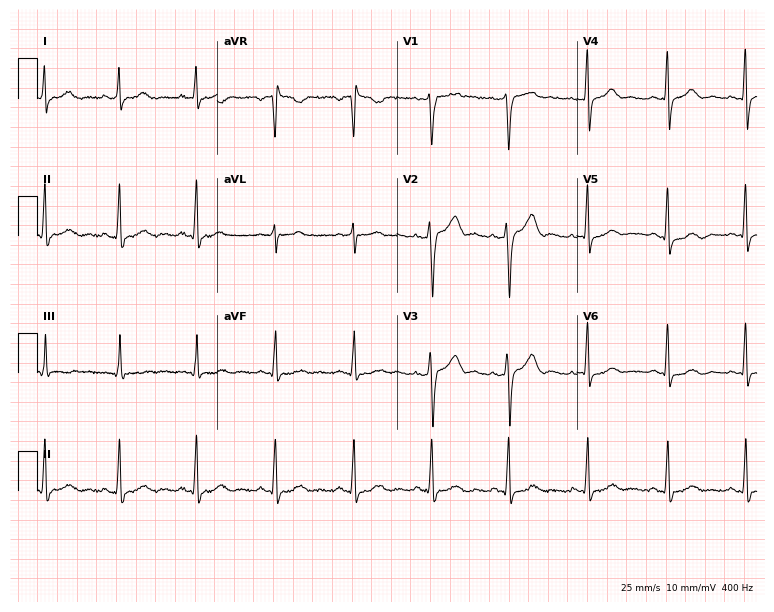
Electrocardiogram (7.3-second recording at 400 Hz), a 29-year-old female patient. Overall reading on record: normal ECG.